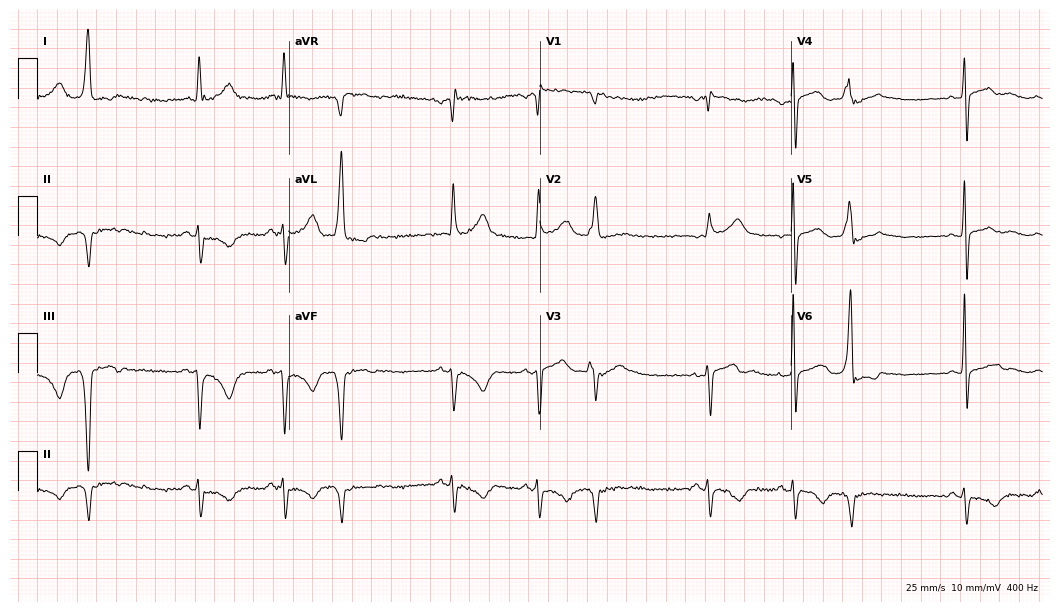
12-lead ECG from a 70-year-old male patient. No first-degree AV block, right bundle branch block, left bundle branch block, sinus bradycardia, atrial fibrillation or sinus tachycardia recorded for this tracing. Other findings, if any, are not listed.